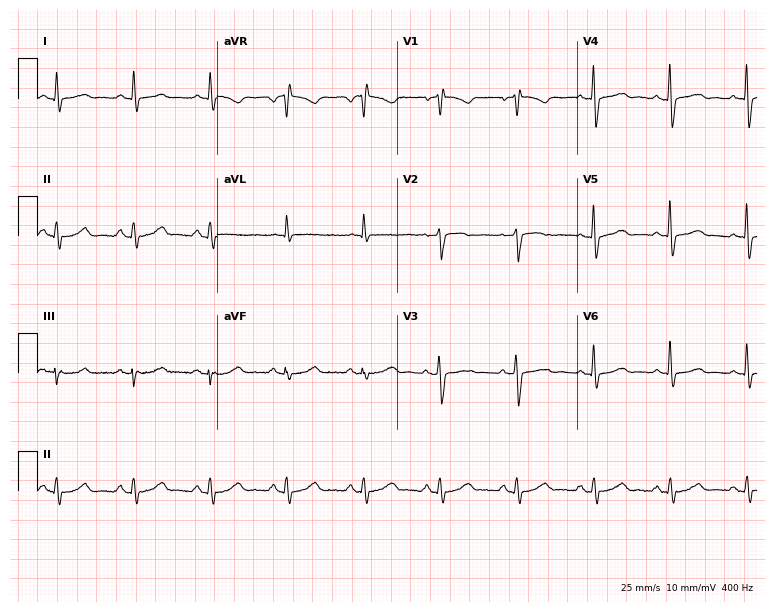
12-lead ECG from a woman, 69 years old (7.3-second recording at 400 Hz). No first-degree AV block, right bundle branch block, left bundle branch block, sinus bradycardia, atrial fibrillation or sinus tachycardia recorded for this tracing.